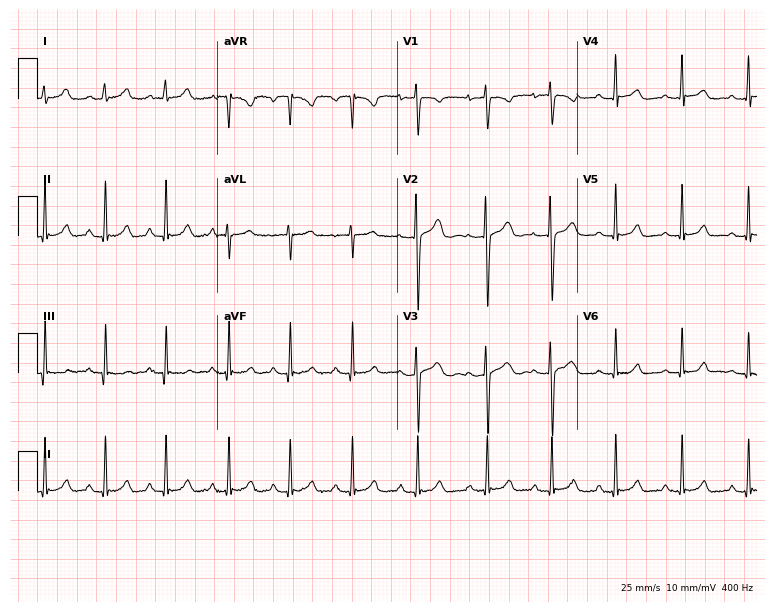
12-lead ECG from an 18-year-old female patient. Labelled as a normal ECG.